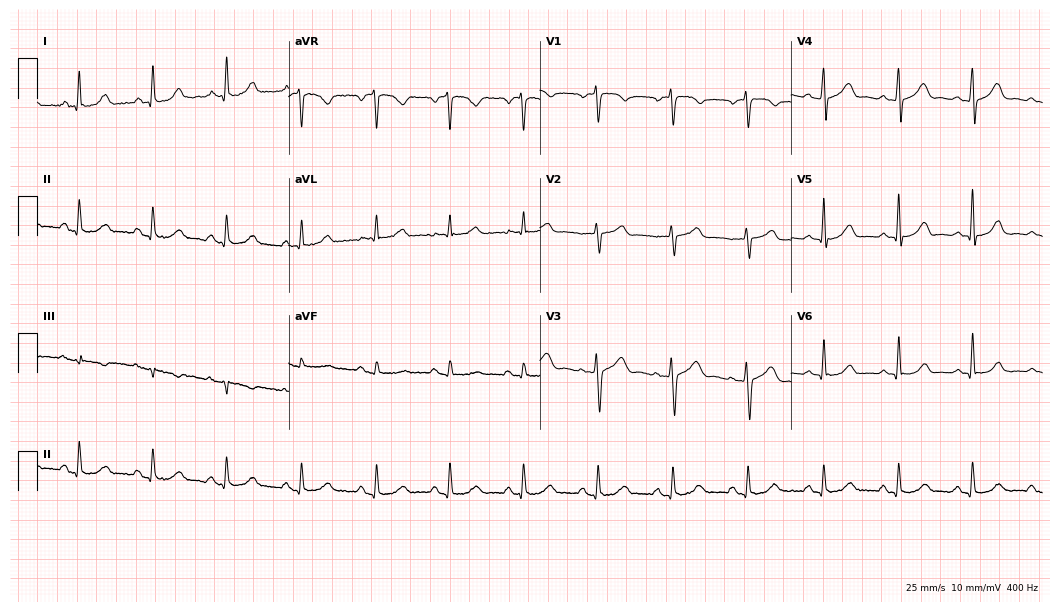
12-lead ECG (10.2-second recording at 400 Hz) from a woman, 52 years old. Screened for six findings — first-degree AV block, right bundle branch block, left bundle branch block, sinus bradycardia, atrial fibrillation, sinus tachycardia — none is recorded. Findings outside these six are not listed.